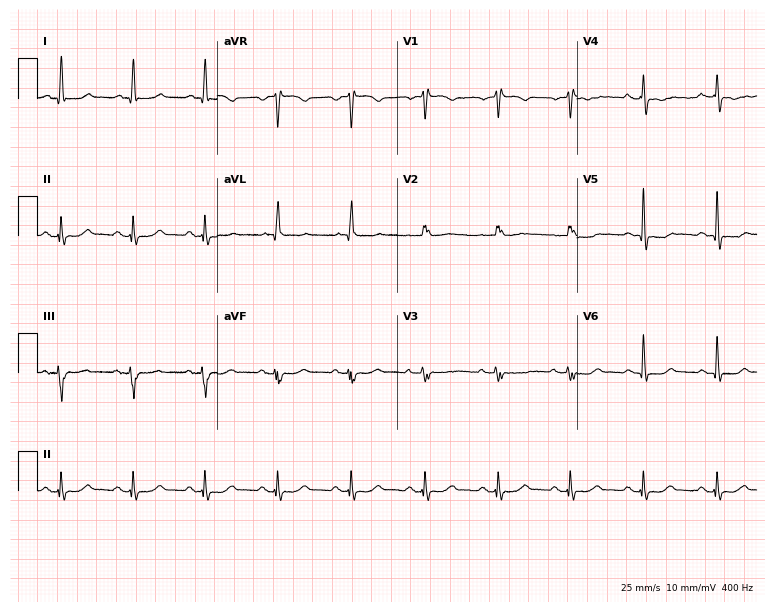
Resting 12-lead electrocardiogram (7.3-second recording at 400 Hz). Patient: a woman, 62 years old. None of these six findings is recorded: first-degree AV block, right bundle branch block, left bundle branch block, sinus bradycardia, atrial fibrillation, sinus tachycardia.